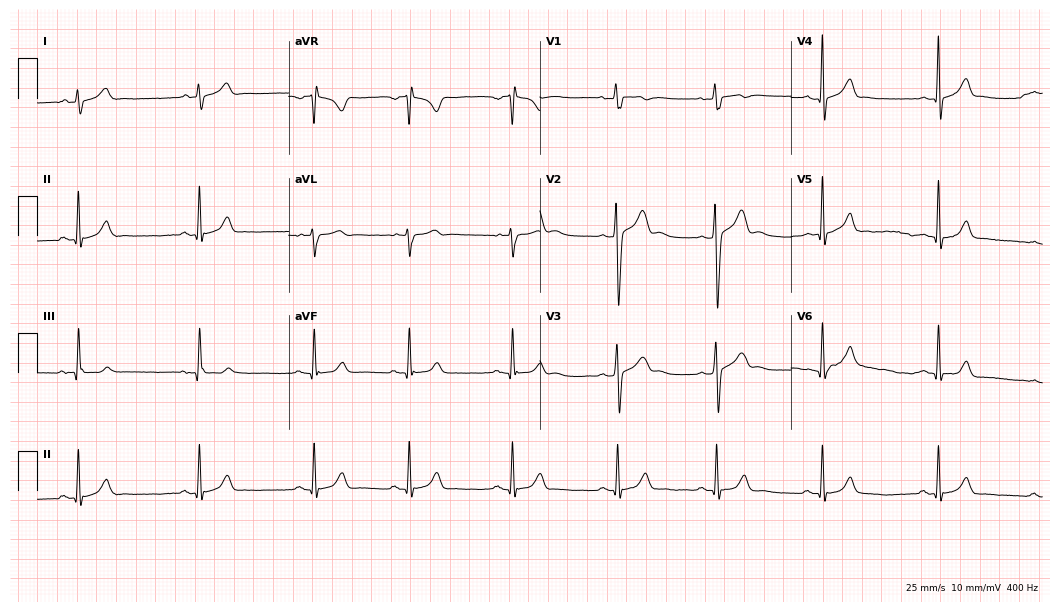
ECG — a 20-year-old male patient. Screened for six findings — first-degree AV block, right bundle branch block, left bundle branch block, sinus bradycardia, atrial fibrillation, sinus tachycardia — none is recorded. Findings outside these six are not listed.